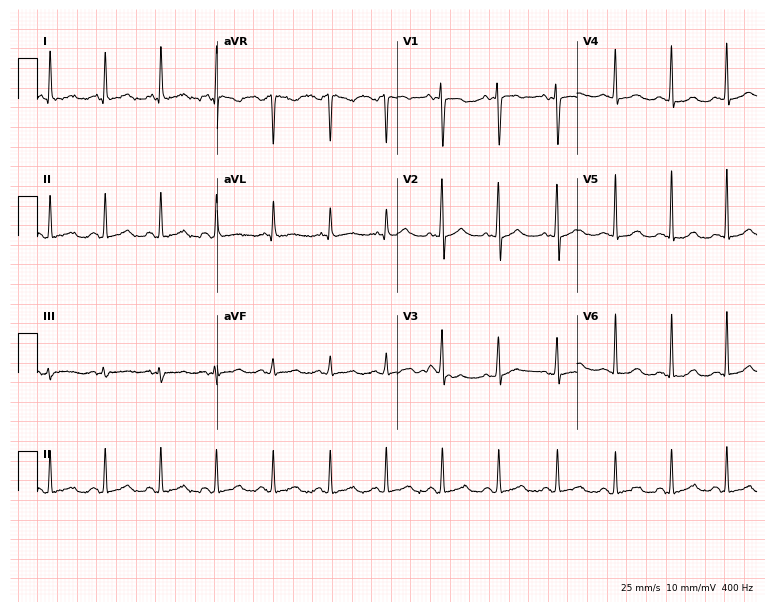
ECG — a female patient, 32 years old. Findings include sinus tachycardia (a sinus rate of 100 beats per minute or more).